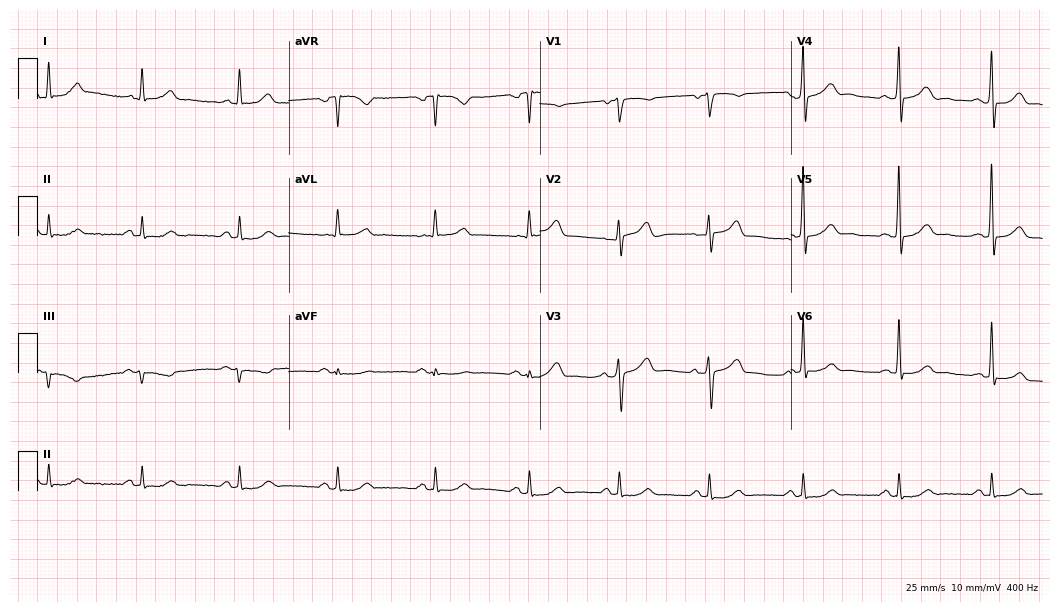
12-lead ECG from a 57-year-old male. Labelled as a normal ECG.